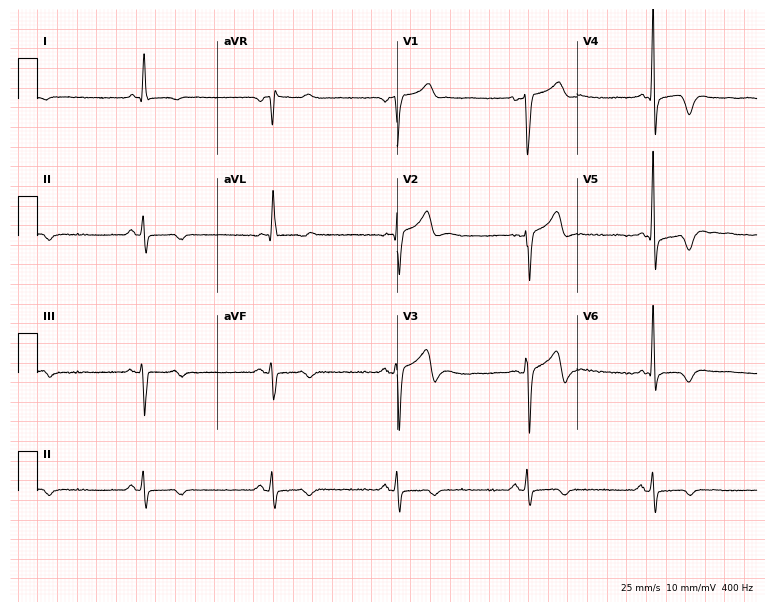
12-lead ECG from a male patient, 78 years old. Shows sinus bradycardia (a sinus rate of 50 beats per minute or less).